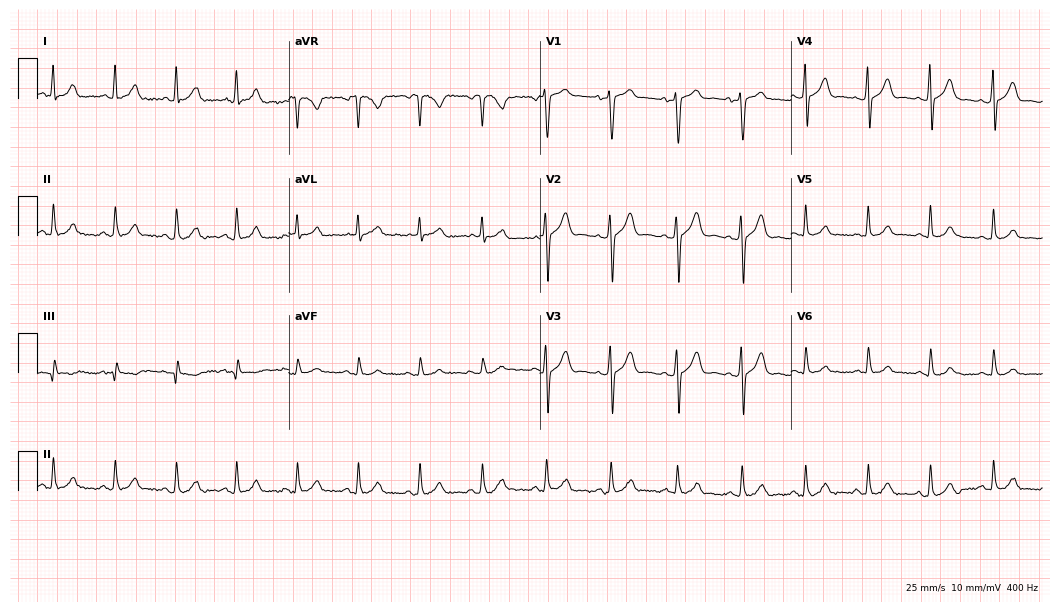
12-lead ECG from a woman, 52 years old (10.2-second recording at 400 Hz). Recorded interpretation: within normal limits.